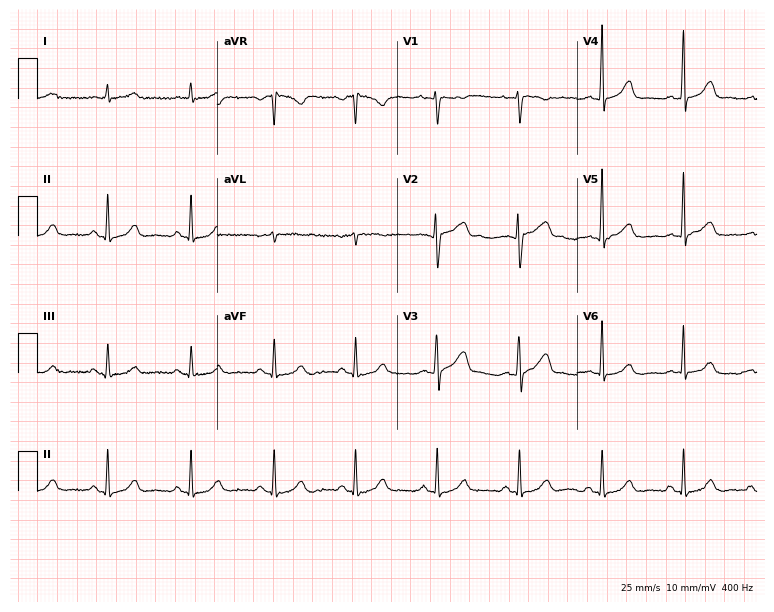
ECG — a woman, 56 years old. Screened for six findings — first-degree AV block, right bundle branch block (RBBB), left bundle branch block (LBBB), sinus bradycardia, atrial fibrillation (AF), sinus tachycardia — none is recorded. Findings outside these six are not listed.